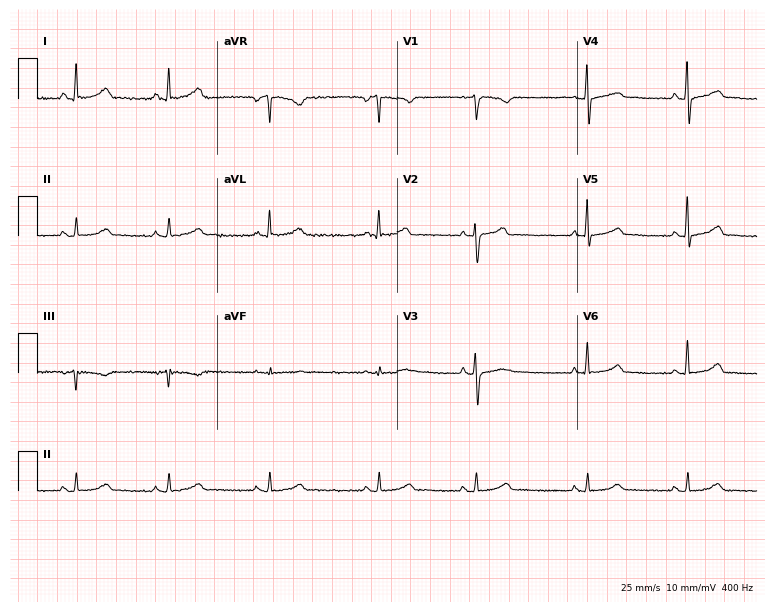
Electrocardiogram (7.3-second recording at 400 Hz), a 52-year-old man. Overall reading on record: normal ECG.